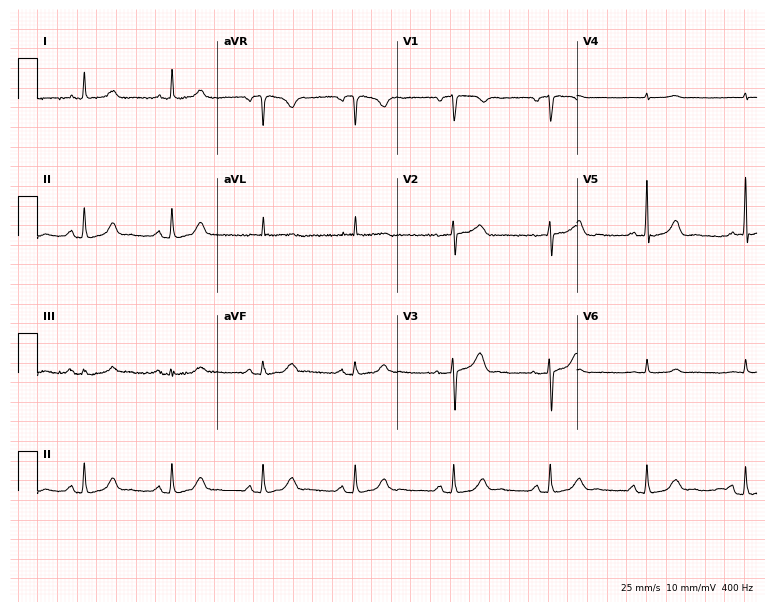
Electrocardiogram (7.3-second recording at 400 Hz), a female, 56 years old. Overall reading on record: normal ECG.